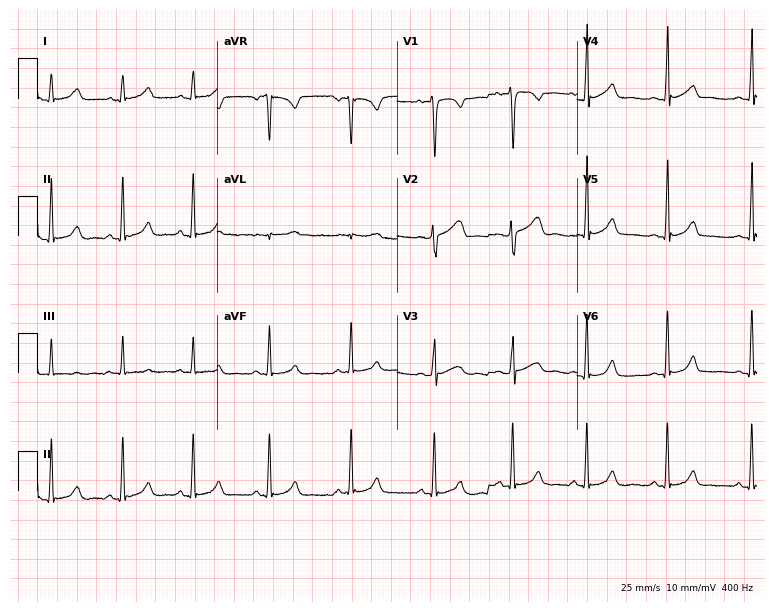
12-lead ECG from a female, 20 years old (7.3-second recording at 400 Hz). Recorded interpretation: within normal limits.